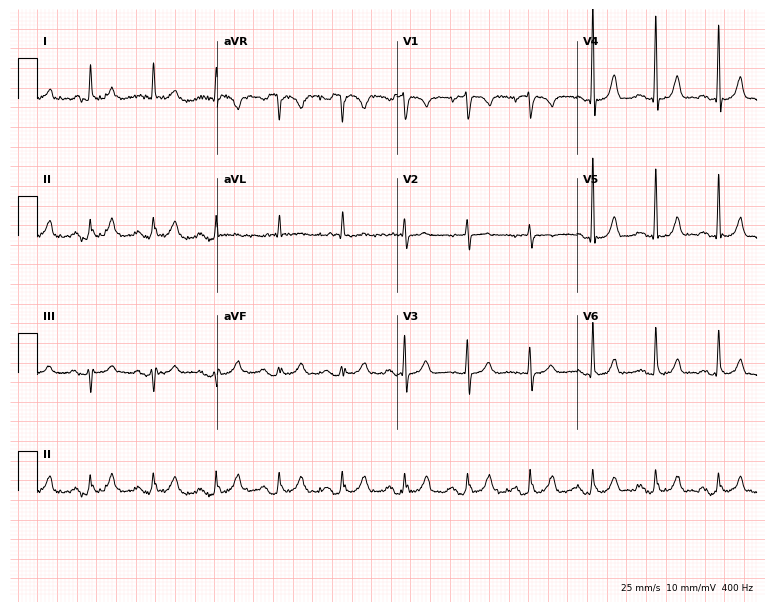
Standard 12-lead ECG recorded from an 83-year-old male. None of these six findings is recorded: first-degree AV block, right bundle branch block (RBBB), left bundle branch block (LBBB), sinus bradycardia, atrial fibrillation (AF), sinus tachycardia. Findings outside these six are not listed.